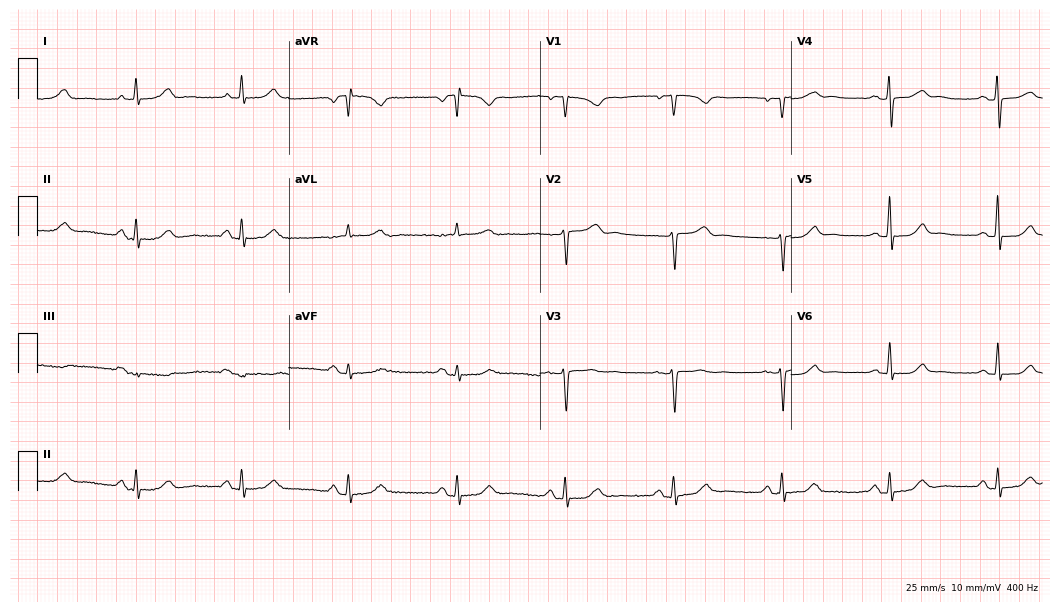
Resting 12-lead electrocardiogram. Patient: a female, 69 years old. None of these six findings is recorded: first-degree AV block, right bundle branch block, left bundle branch block, sinus bradycardia, atrial fibrillation, sinus tachycardia. Other findings, if any, are not listed.